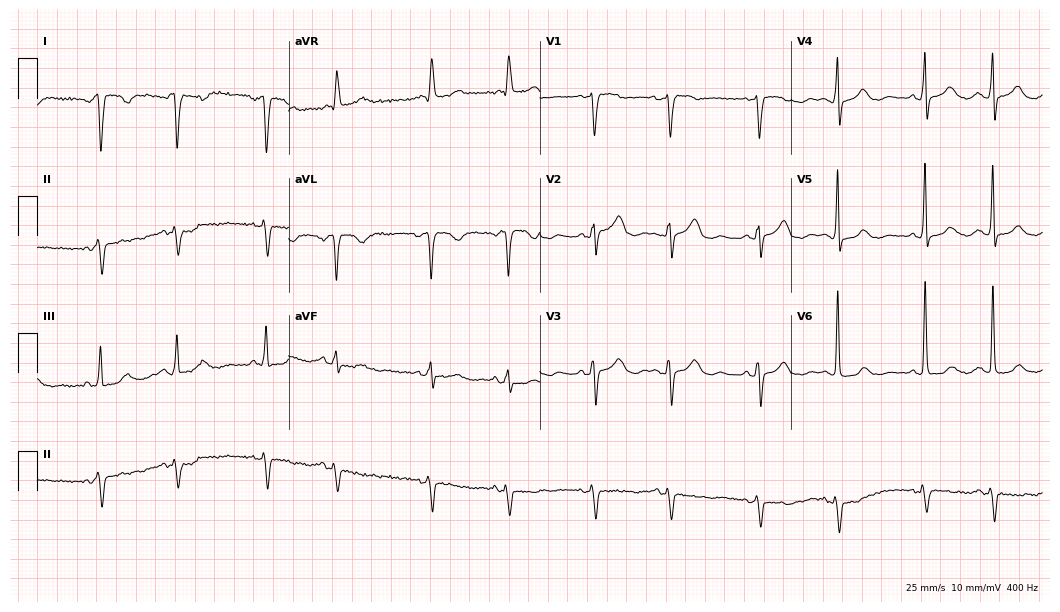
Electrocardiogram, a 75-year-old female. Of the six screened findings (first-degree AV block, right bundle branch block, left bundle branch block, sinus bradycardia, atrial fibrillation, sinus tachycardia), none is recorded.